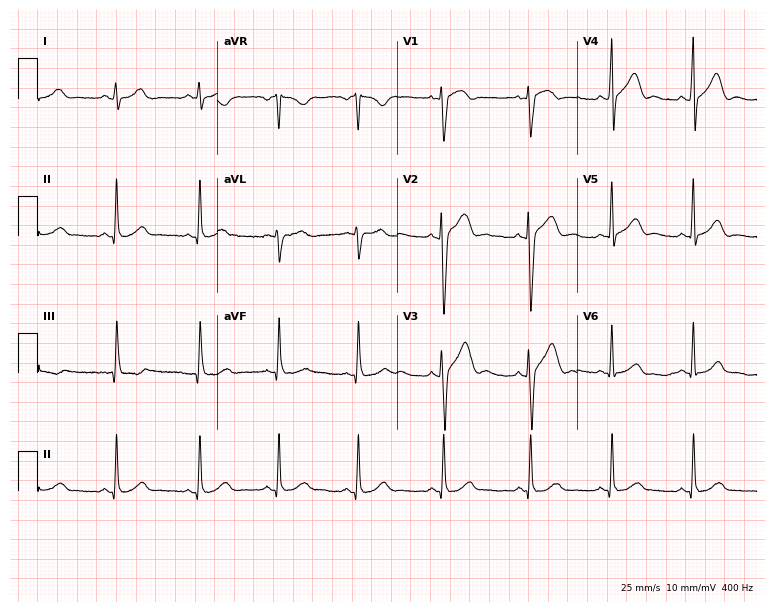
Resting 12-lead electrocardiogram. Patient: a male, 25 years old. Read as a normal ECG.